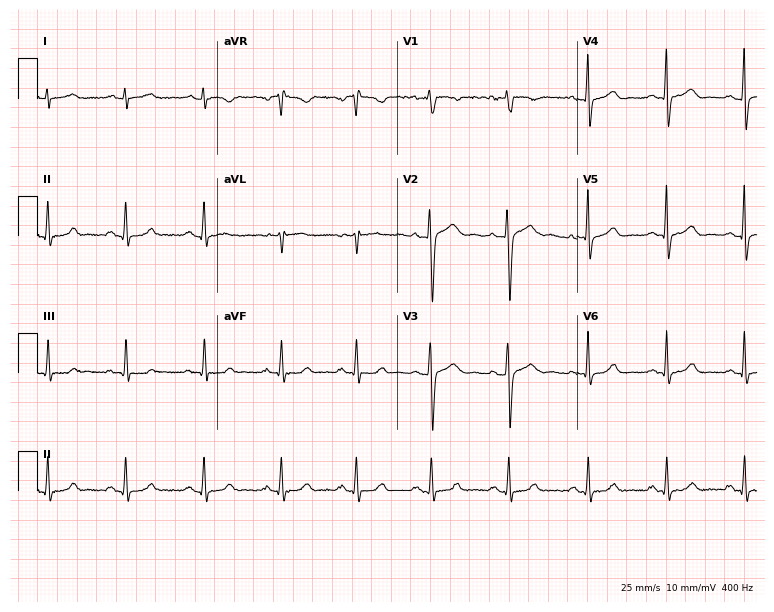
Electrocardiogram (7.3-second recording at 400 Hz), a female patient, 33 years old. Of the six screened findings (first-degree AV block, right bundle branch block (RBBB), left bundle branch block (LBBB), sinus bradycardia, atrial fibrillation (AF), sinus tachycardia), none is recorded. Other findings, if any, are not listed.